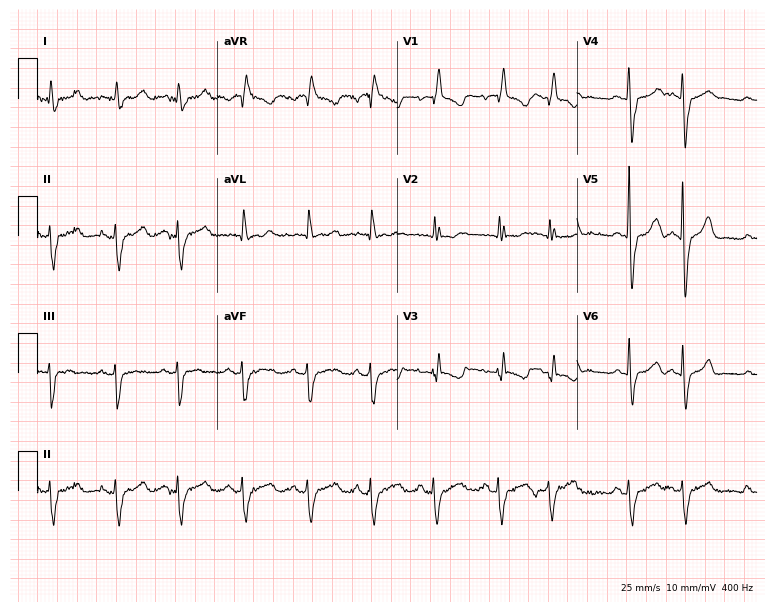
12-lead ECG from a male patient, 77 years old. Findings include right bundle branch block.